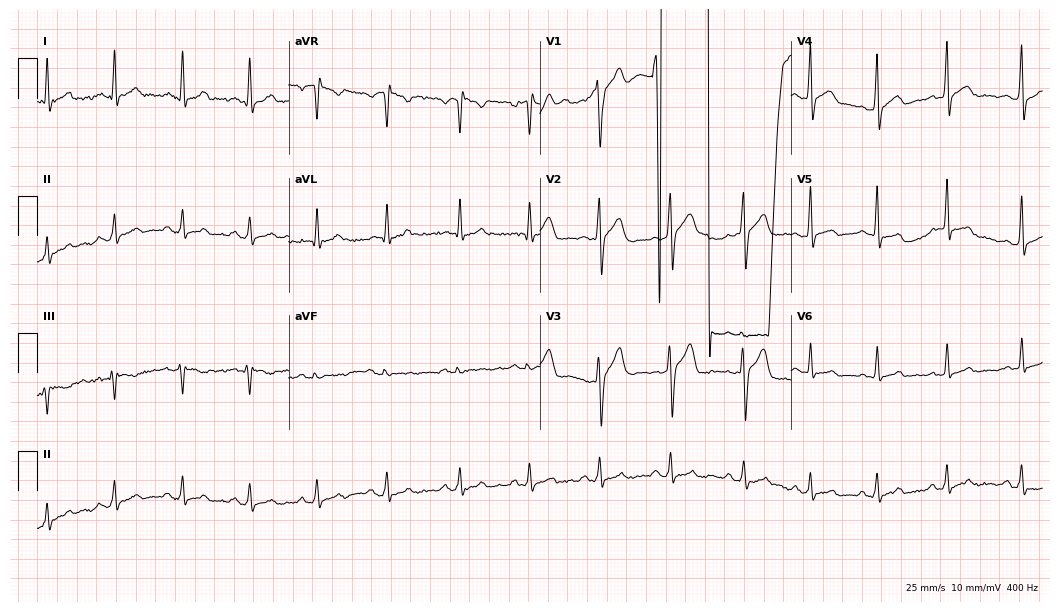
Electrocardiogram, a 20-year-old male patient. Overall reading on record: normal ECG.